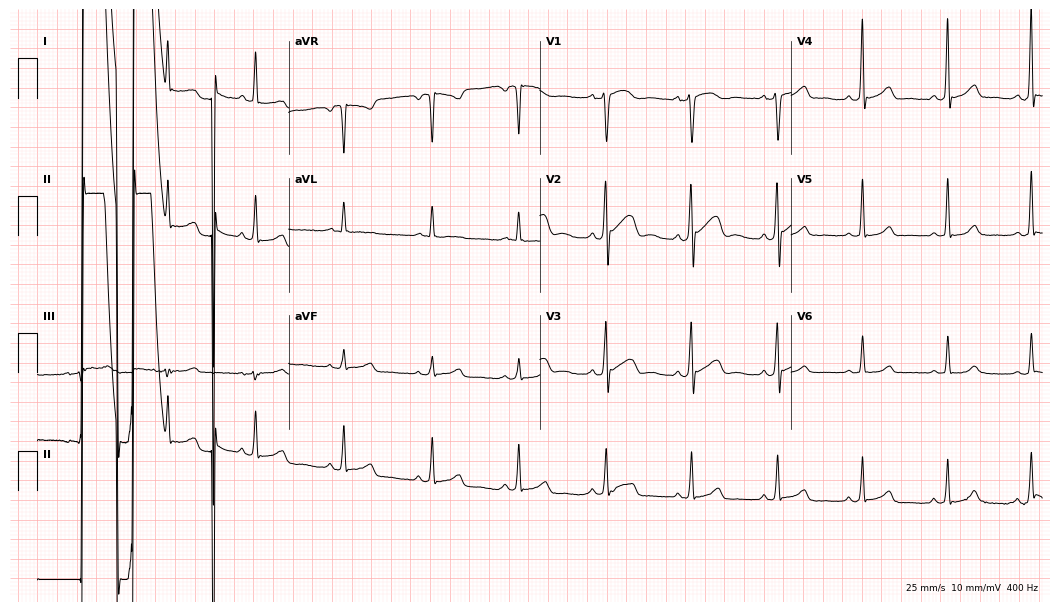
Standard 12-lead ECG recorded from a man, 53 years old (10.2-second recording at 400 Hz). None of these six findings is recorded: first-degree AV block, right bundle branch block, left bundle branch block, sinus bradycardia, atrial fibrillation, sinus tachycardia.